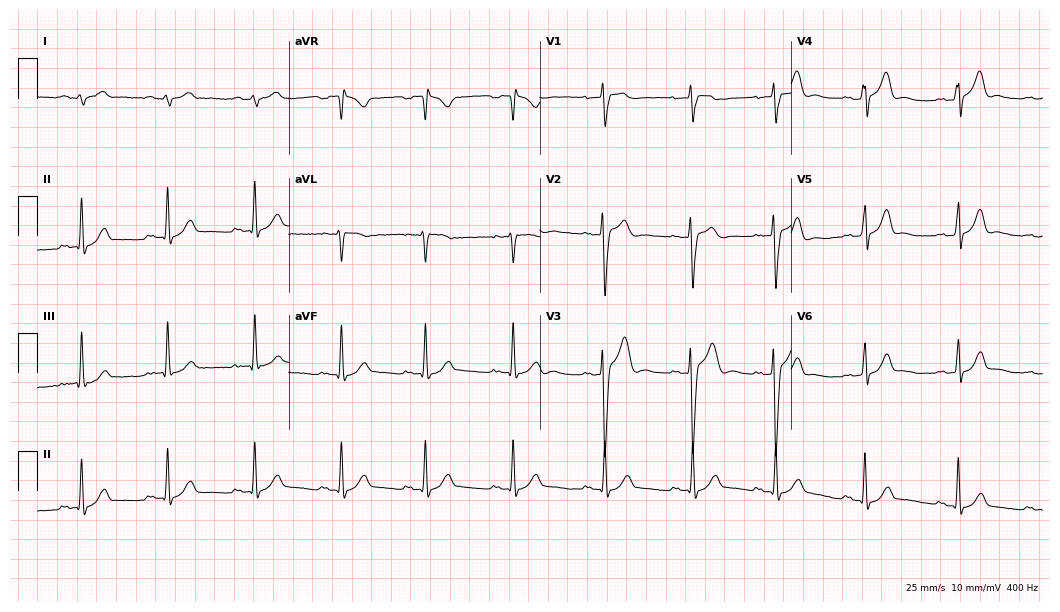
12-lead ECG from a 22-year-old male patient. No first-degree AV block, right bundle branch block (RBBB), left bundle branch block (LBBB), sinus bradycardia, atrial fibrillation (AF) or sinus tachycardia recorded for this tracing.